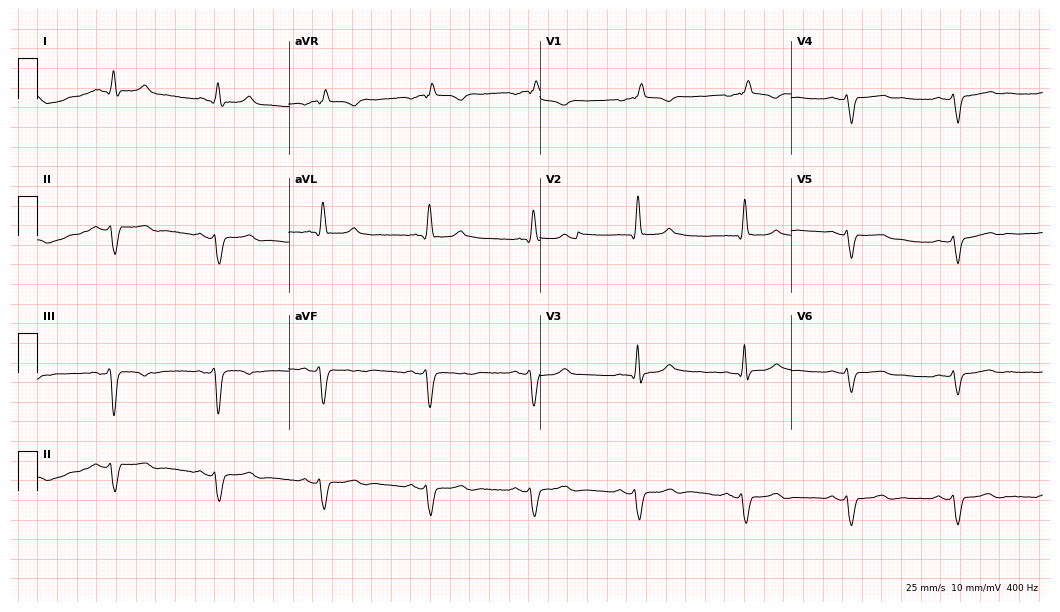
12-lead ECG from a 56-year-old male (10.2-second recording at 400 Hz). Shows right bundle branch block (RBBB).